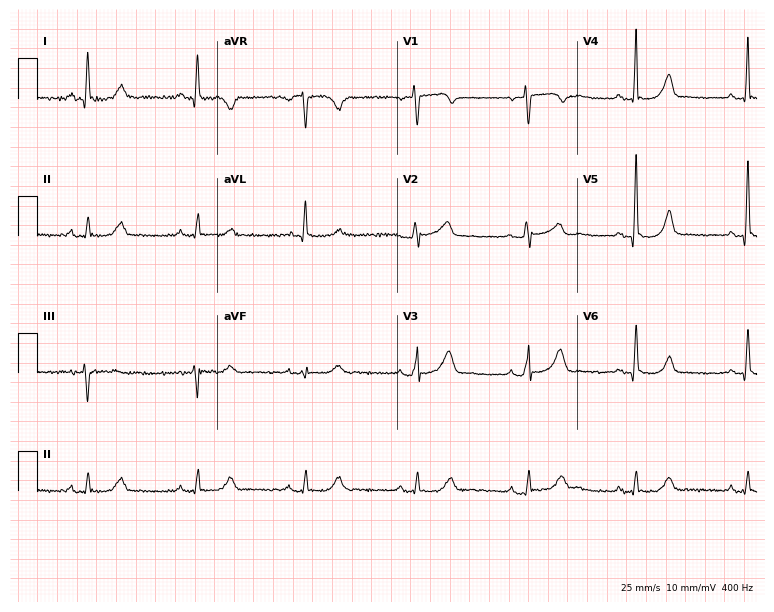
Resting 12-lead electrocardiogram (7.3-second recording at 400 Hz). Patient: a 62-year-old female. Read as a normal ECG.